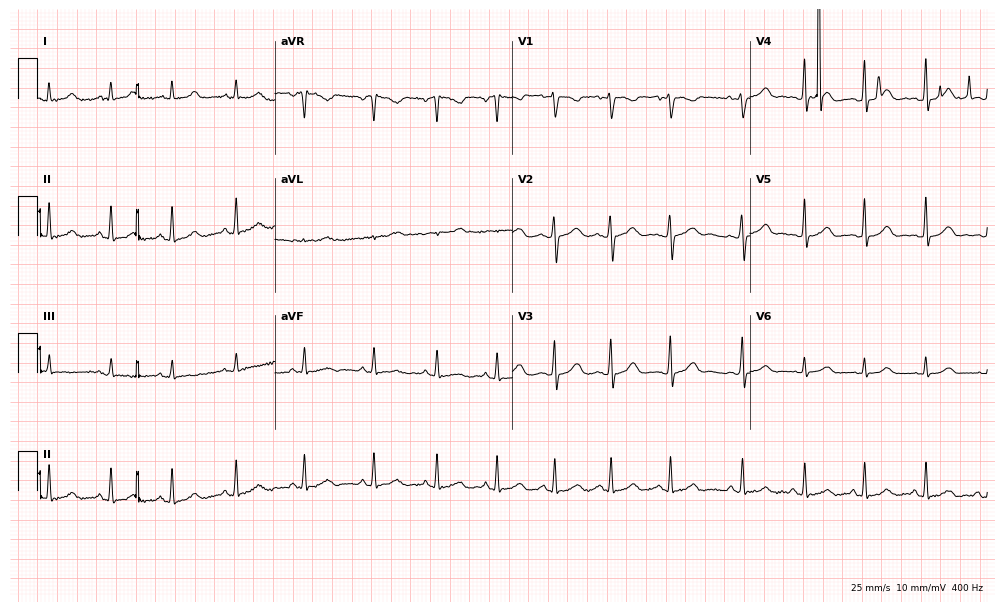
ECG (9.7-second recording at 400 Hz) — a 35-year-old female patient. Labelled as a normal ECG.